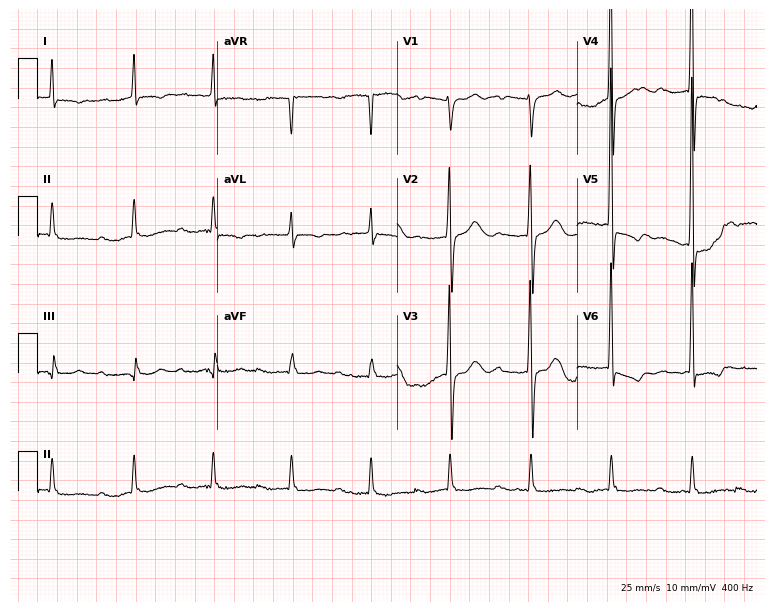
12-lead ECG (7.3-second recording at 400 Hz) from a male, 81 years old. Findings include first-degree AV block.